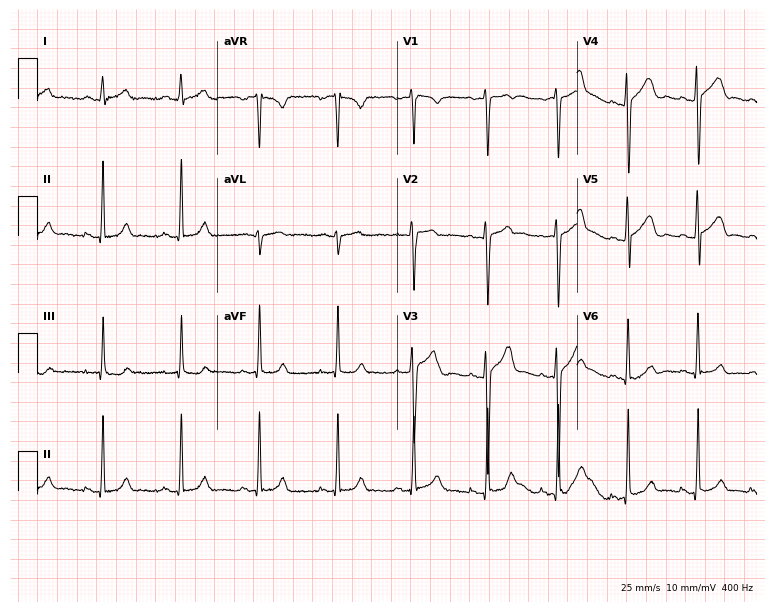
12-lead ECG from a 33-year-old man. Screened for six findings — first-degree AV block, right bundle branch block (RBBB), left bundle branch block (LBBB), sinus bradycardia, atrial fibrillation (AF), sinus tachycardia — none is recorded.